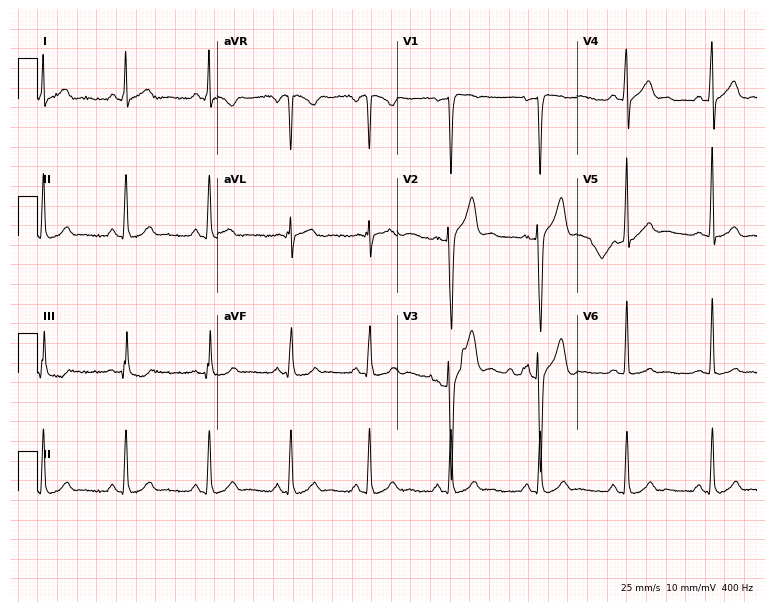
ECG — a man, 27 years old. Labelled as a normal ECG.